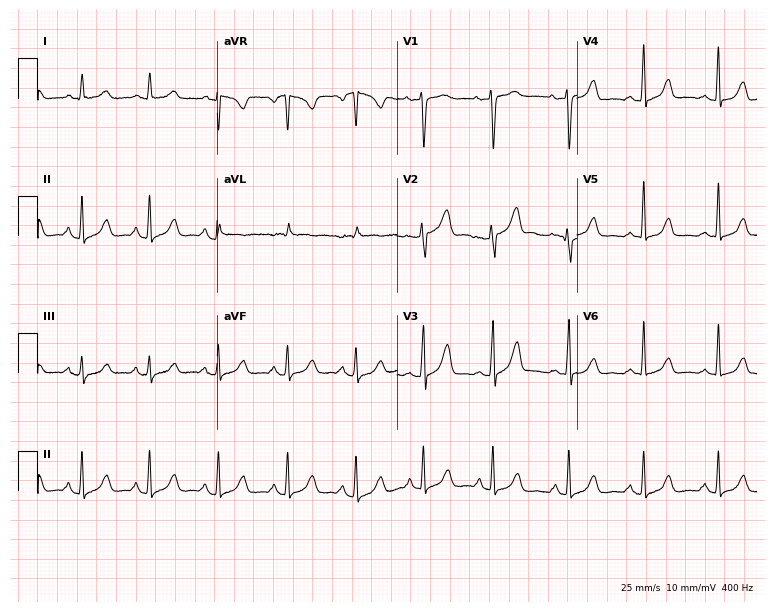
12-lead ECG from a 61-year-old female (7.3-second recording at 400 Hz). Recorded interpretation: within normal limits.